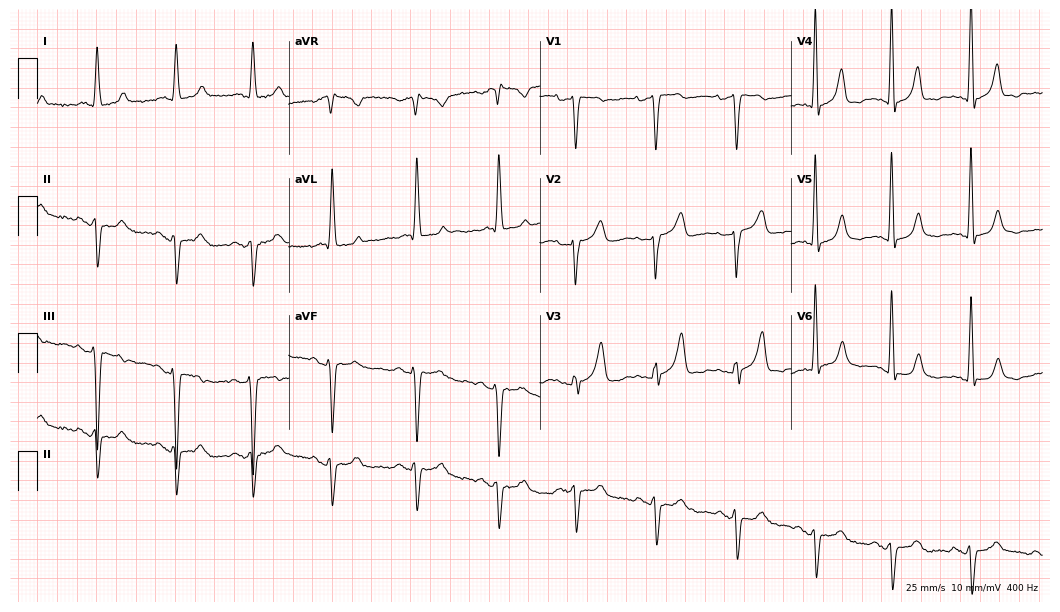
Standard 12-lead ECG recorded from a female, 83 years old (10.2-second recording at 400 Hz). None of these six findings is recorded: first-degree AV block, right bundle branch block (RBBB), left bundle branch block (LBBB), sinus bradycardia, atrial fibrillation (AF), sinus tachycardia. Findings outside these six are not listed.